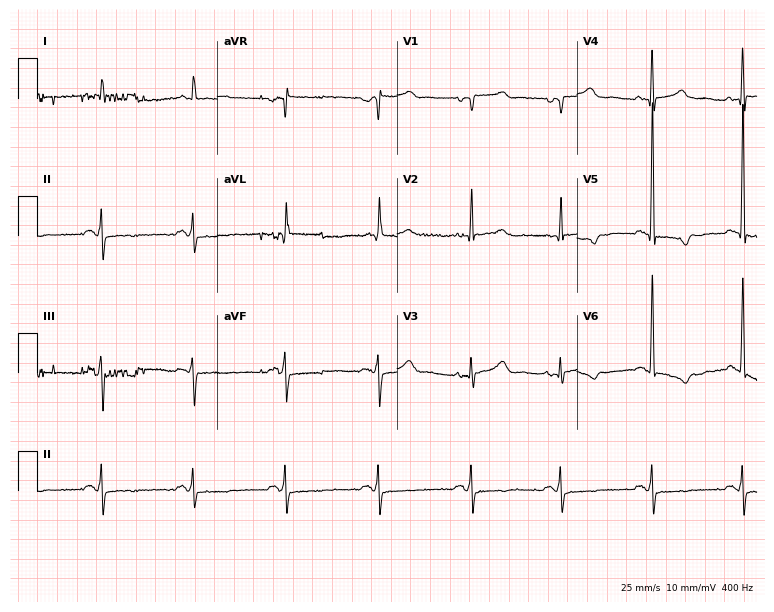
Electrocardiogram, a female patient, 79 years old. Of the six screened findings (first-degree AV block, right bundle branch block, left bundle branch block, sinus bradycardia, atrial fibrillation, sinus tachycardia), none is recorded.